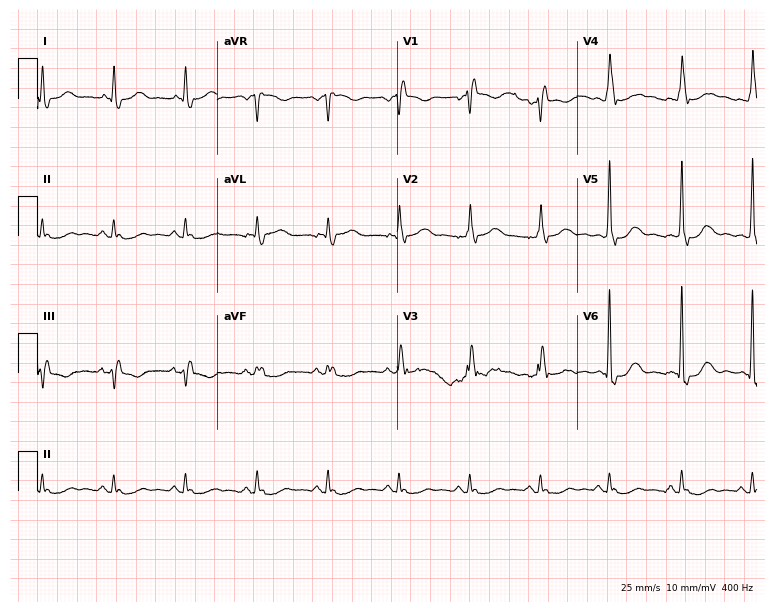
Resting 12-lead electrocardiogram (7.3-second recording at 400 Hz). Patient: an 85-year-old male. The tracing shows right bundle branch block (RBBB).